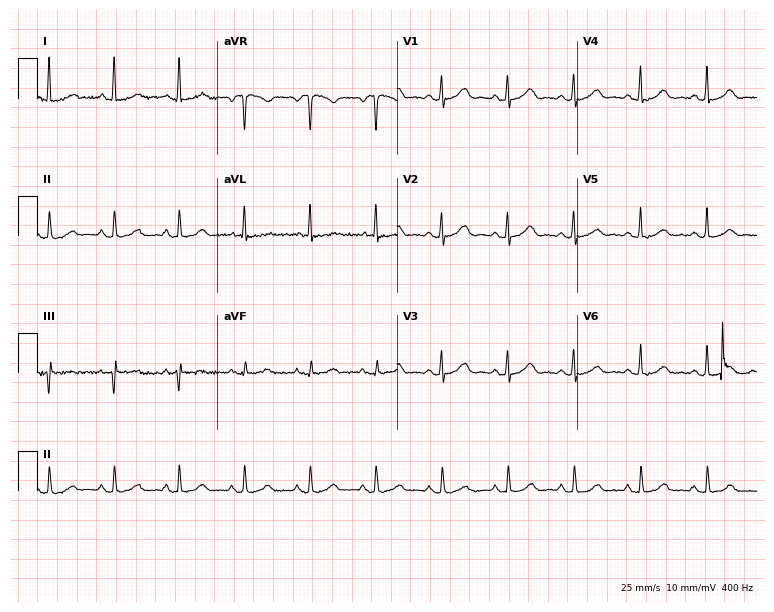
Resting 12-lead electrocardiogram. Patient: a female, 67 years old. Read as a normal ECG.